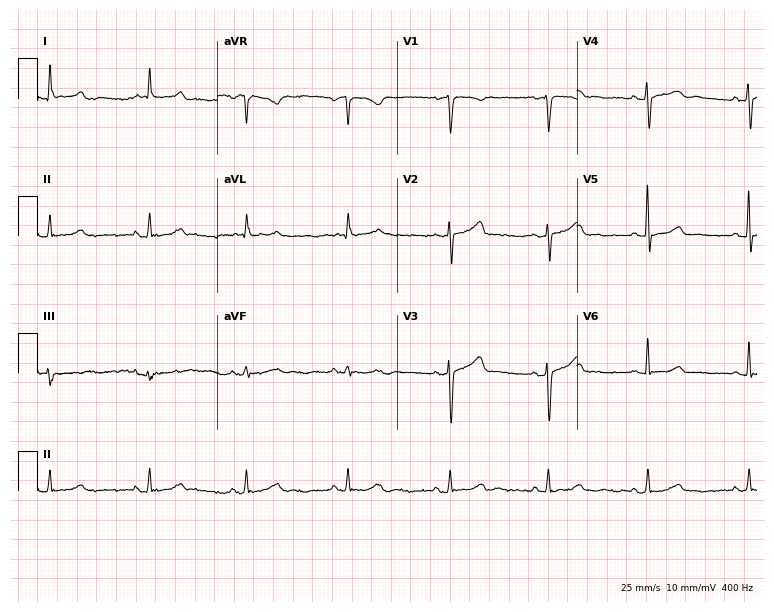
12-lead ECG from a woman, 38 years old (7.3-second recording at 400 Hz). Recorded interpretation: within normal limits.